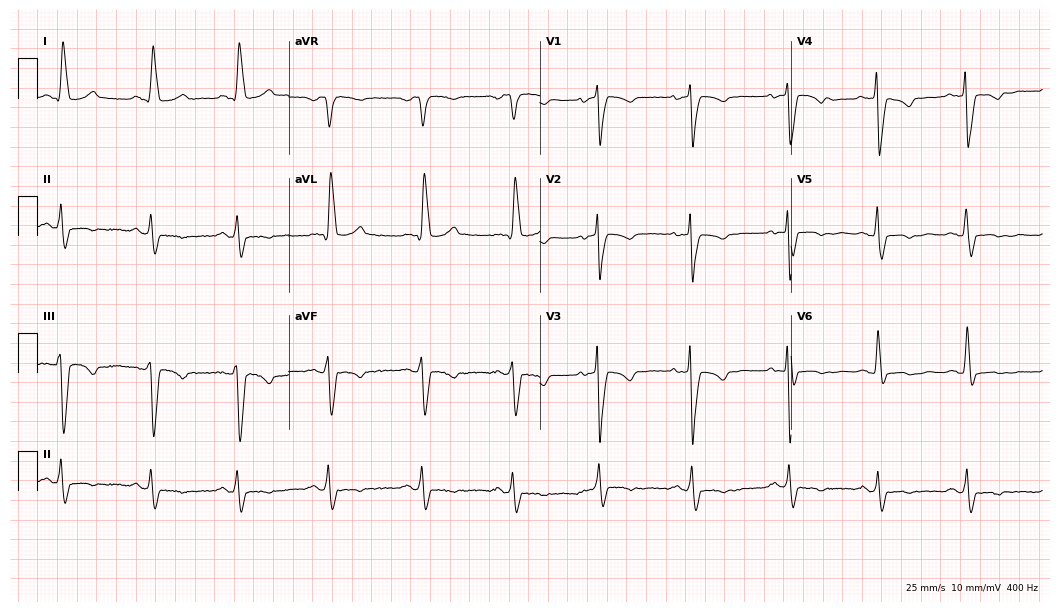
12-lead ECG from a 72-year-old woman. No first-degree AV block, right bundle branch block (RBBB), left bundle branch block (LBBB), sinus bradycardia, atrial fibrillation (AF) or sinus tachycardia recorded for this tracing.